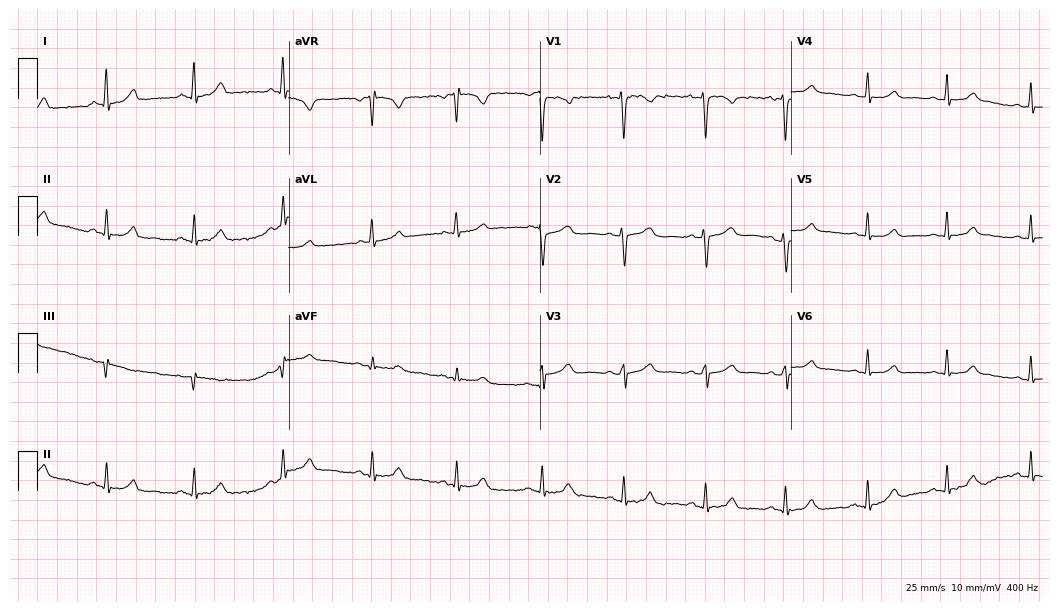
12-lead ECG from a woman, 36 years old. Labelled as a normal ECG.